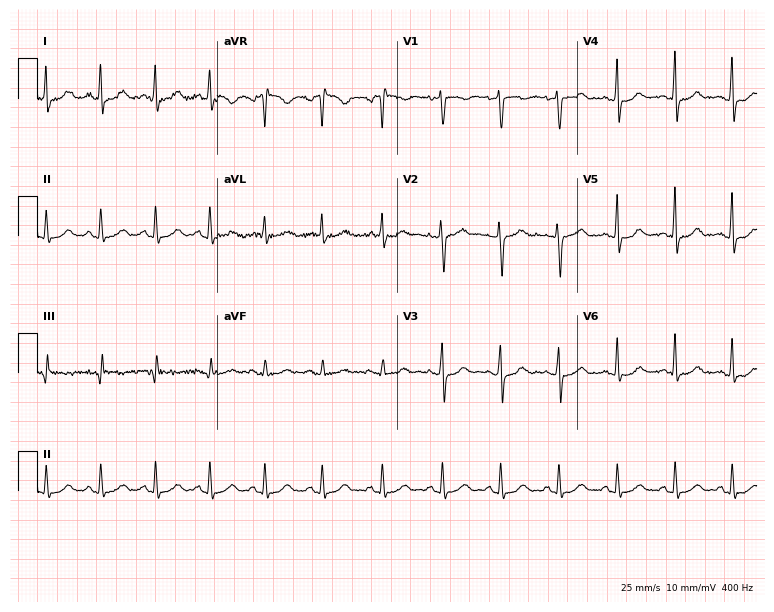
12-lead ECG from a 33-year-old female patient (7.3-second recording at 400 Hz). Shows sinus tachycardia (a sinus rate of 100 beats per minute or more).